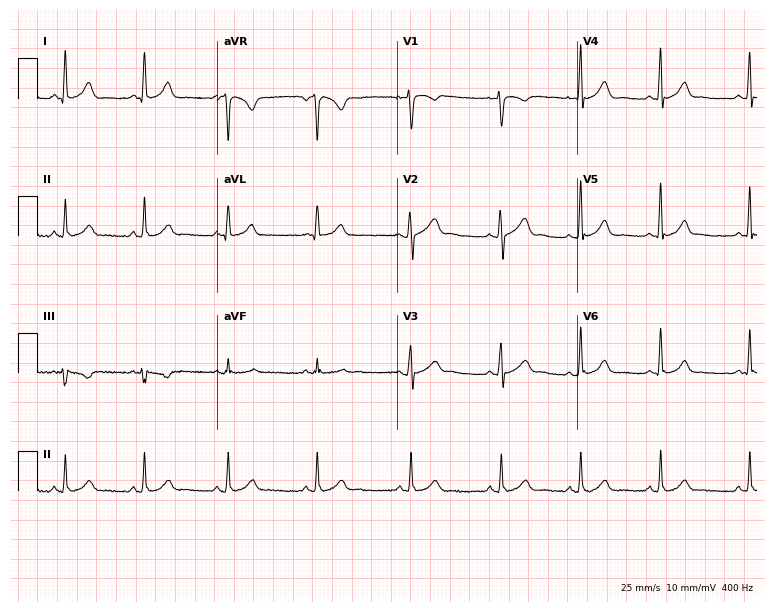
12-lead ECG from a 25-year-old woman. Labelled as a normal ECG.